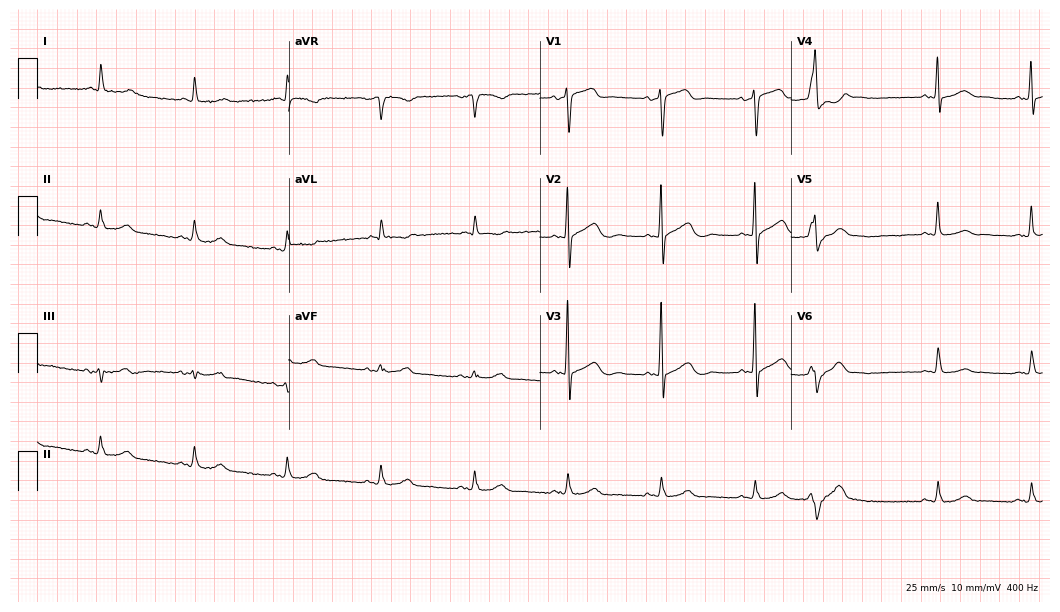
12-lead ECG from a 70-year-old man. Recorded interpretation: within normal limits.